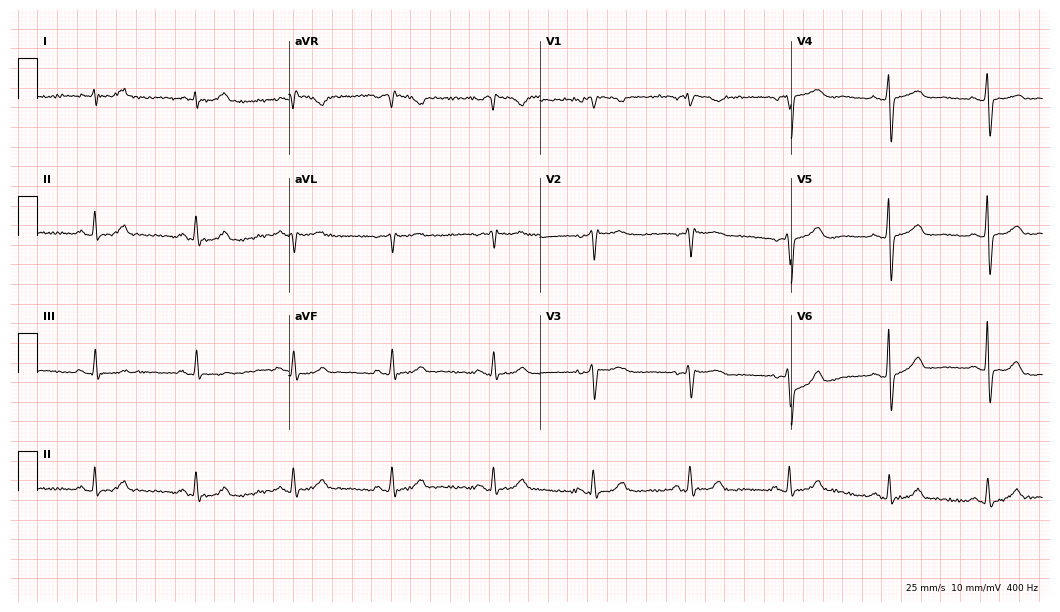
12-lead ECG from a 69-year-old female. Labelled as a normal ECG.